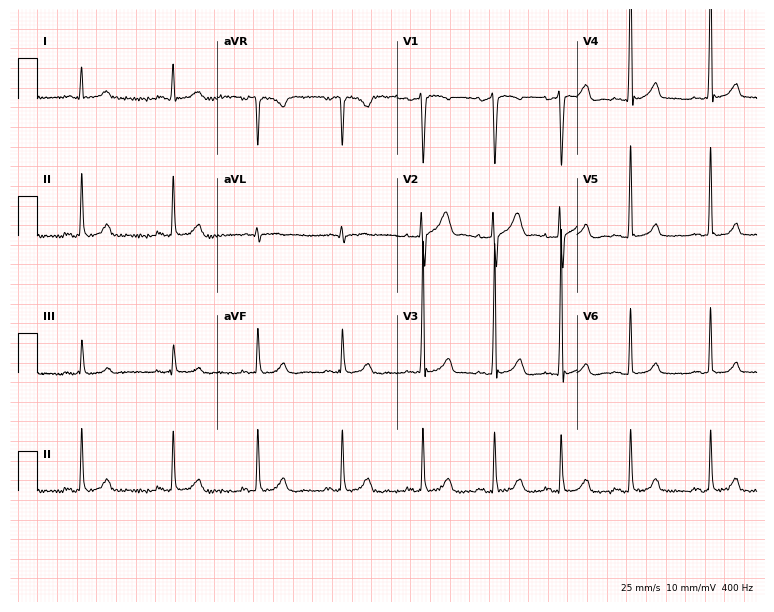
Resting 12-lead electrocardiogram (7.3-second recording at 400 Hz). Patient: a male, 29 years old. None of these six findings is recorded: first-degree AV block, right bundle branch block, left bundle branch block, sinus bradycardia, atrial fibrillation, sinus tachycardia.